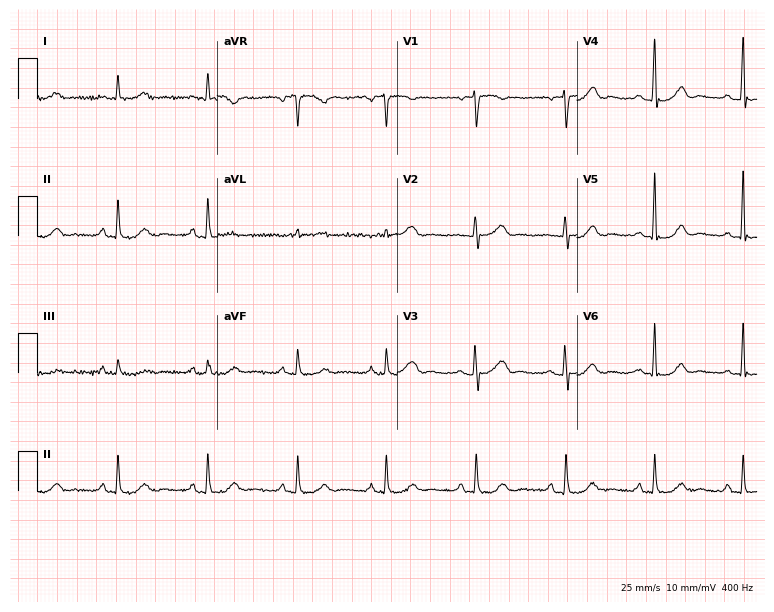
12-lead ECG from a woman, 69 years old. Labelled as a normal ECG.